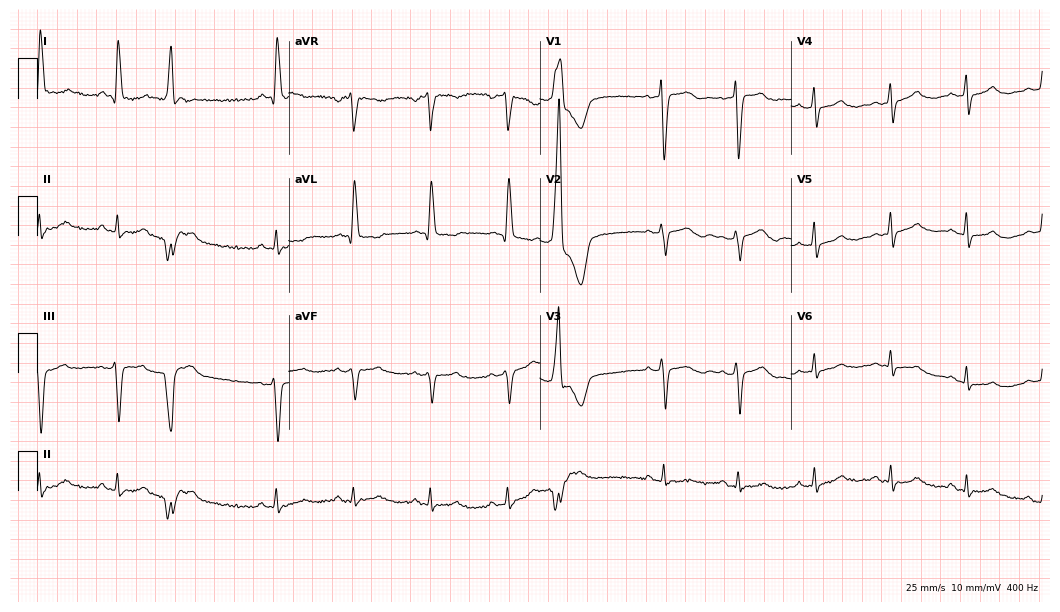
Resting 12-lead electrocardiogram (10.2-second recording at 400 Hz). Patient: a woman, 70 years old. None of these six findings is recorded: first-degree AV block, right bundle branch block, left bundle branch block, sinus bradycardia, atrial fibrillation, sinus tachycardia.